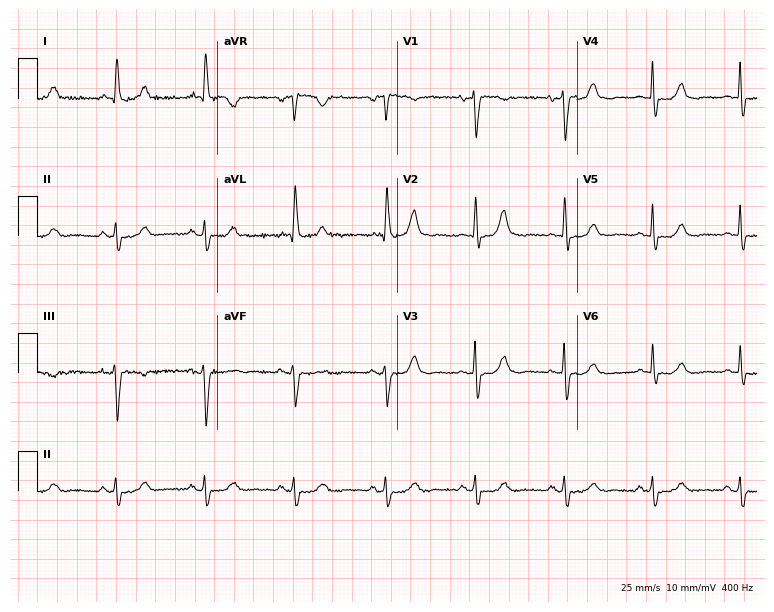
Standard 12-lead ECG recorded from an 84-year-old female patient. None of these six findings is recorded: first-degree AV block, right bundle branch block, left bundle branch block, sinus bradycardia, atrial fibrillation, sinus tachycardia.